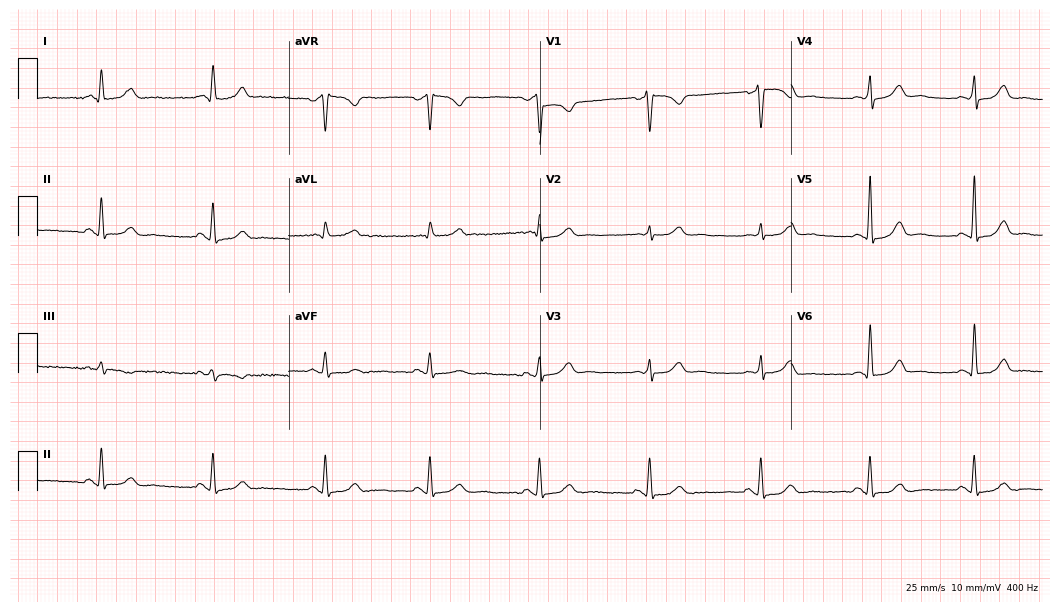
Resting 12-lead electrocardiogram (10.2-second recording at 400 Hz). Patient: a woman, 52 years old. Read as a normal ECG.